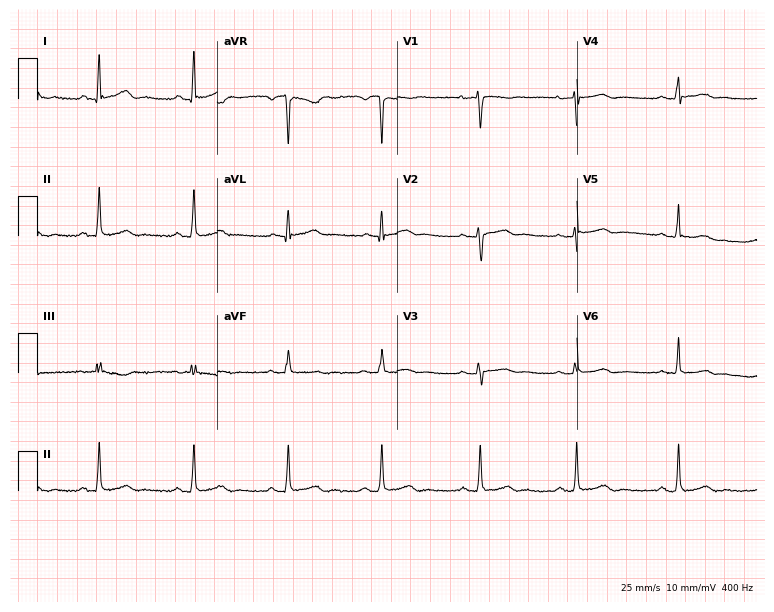
Electrocardiogram, a 40-year-old female patient. Of the six screened findings (first-degree AV block, right bundle branch block, left bundle branch block, sinus bradycardia, atrial fibrillation, sinus tachycardia), none is recorded.